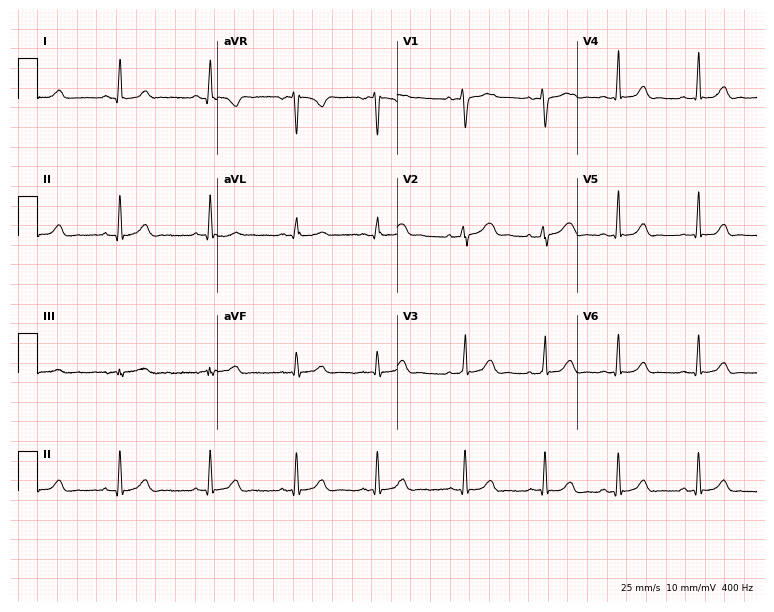
Resting 12-lead electrocardiogram (7.3-second recording at 400 Hz). Patient: a 21-year-old woman. Read as a normal ECG.